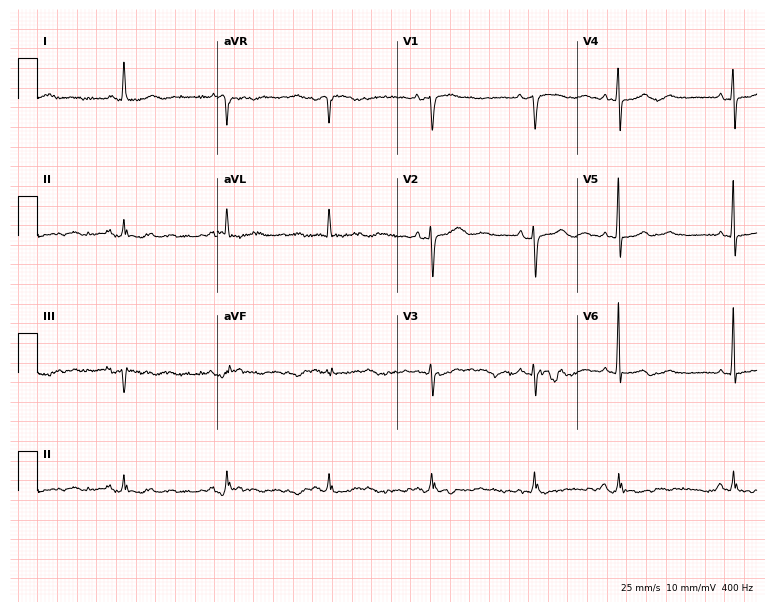
ECG — a female patient, 77 years old. Screened for six findings — first-degree AV block, right bundle branch block, left bundle branch block, sinus bradycardia, atrial fibrillation, sinus tachycardia — none is recorded.